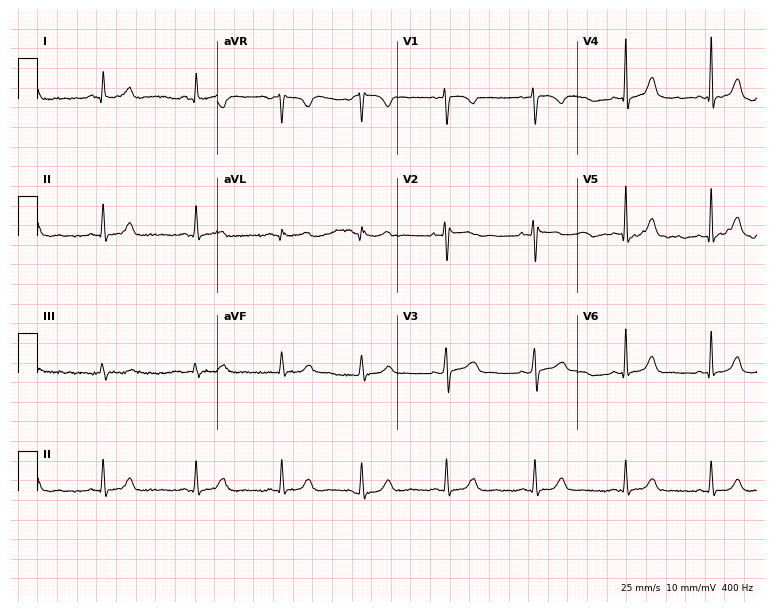
Resting 12-lead electrocardiogram (7.3-second recording at 400 Hz). Patient: a 36-year-old woman. Read as a normal ECG.